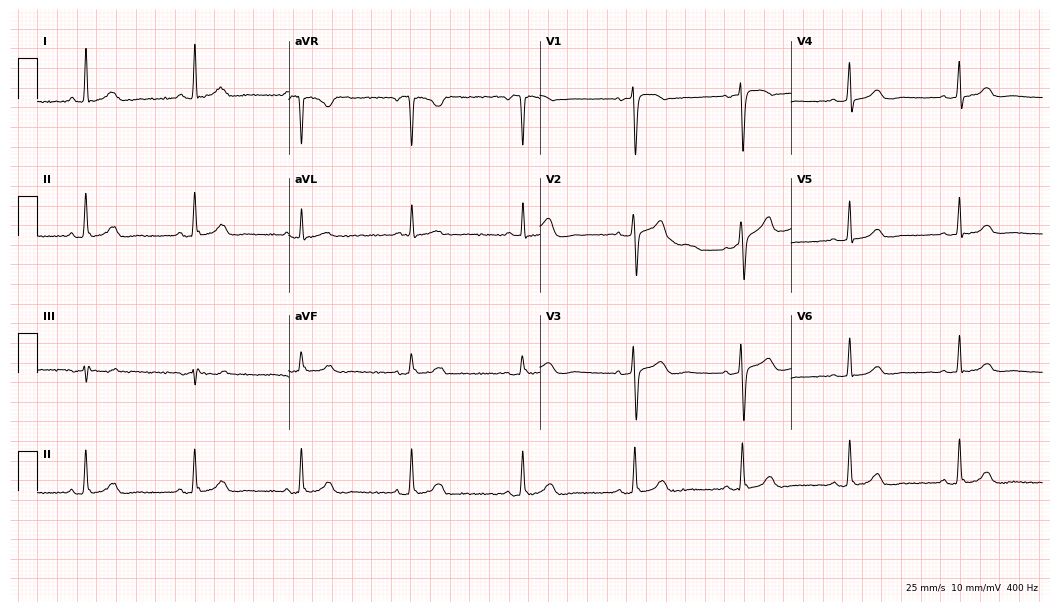
Electrocardiogram (10.2-second recording at 400 Hz), a female, 60 years old. Overall reading on record: normal ECG.